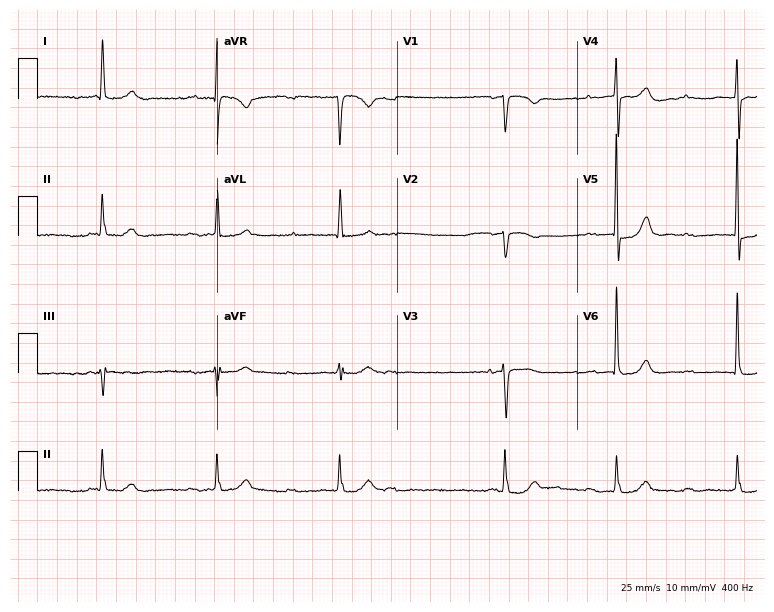
12-lead ECG from a 67-year-old female (7.3-second recording at 400 Hz). Shows first-degree AV block, atrial fibrillation.